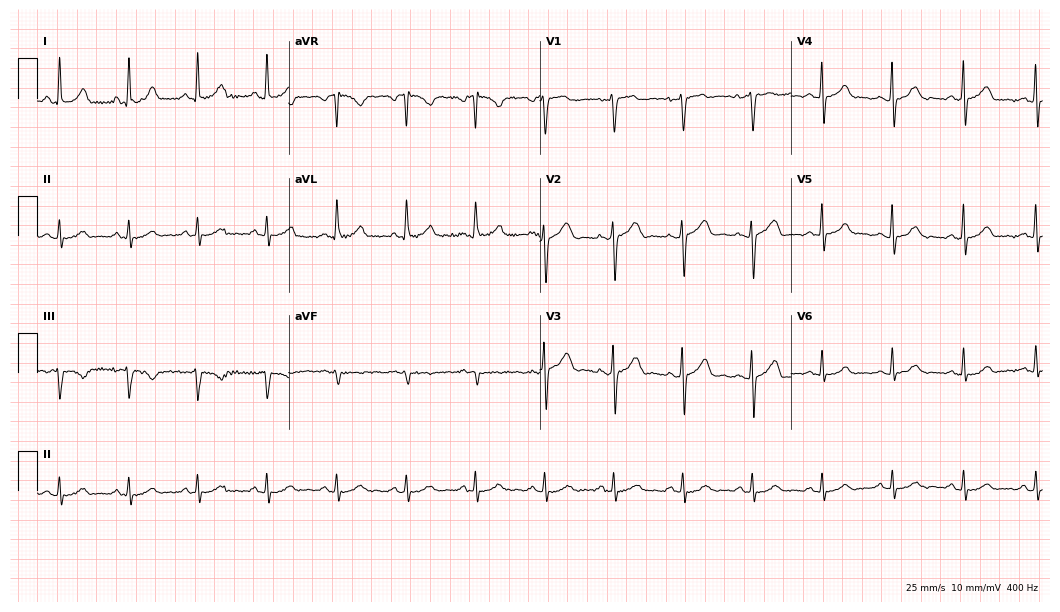
ECG — a female patient, 43 years old. Labelled as a normal ECG.